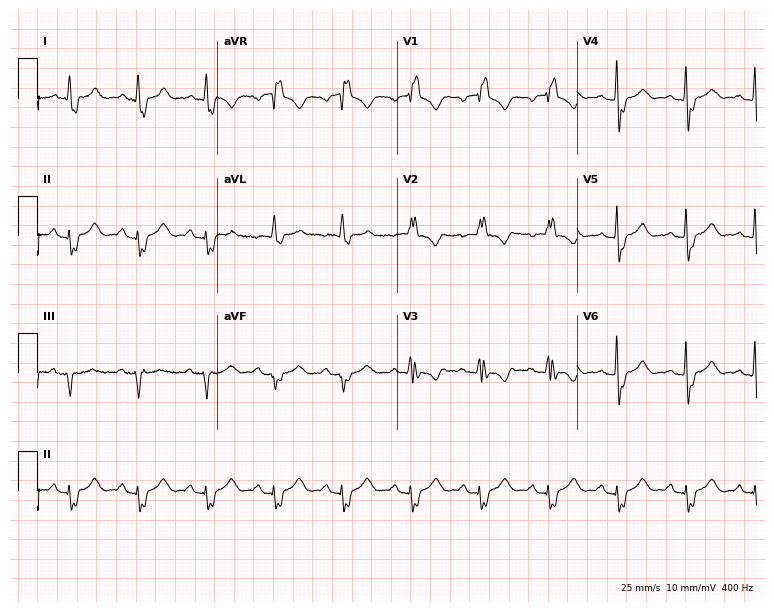
ECG (7.3-second recording at 400 Hz) — a 56-year-old female. Findings include right bundle branch block.